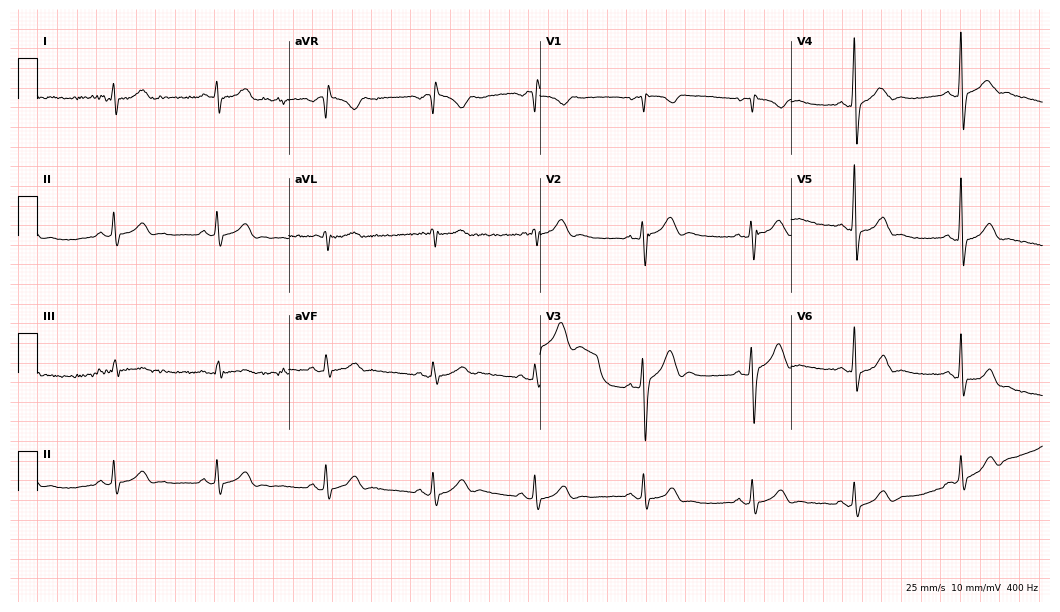
12-lead ECG from a 19-year-old man (10.2-second recording at 400 Hz). No first-degree AV block, right bundle branch block (RBBB), left bundle branch block (LBBB), sinus bradycardia, atrial fibrillation (AF) or sinus tachycardia recorded for this tracing. Only these six findings were labelled.